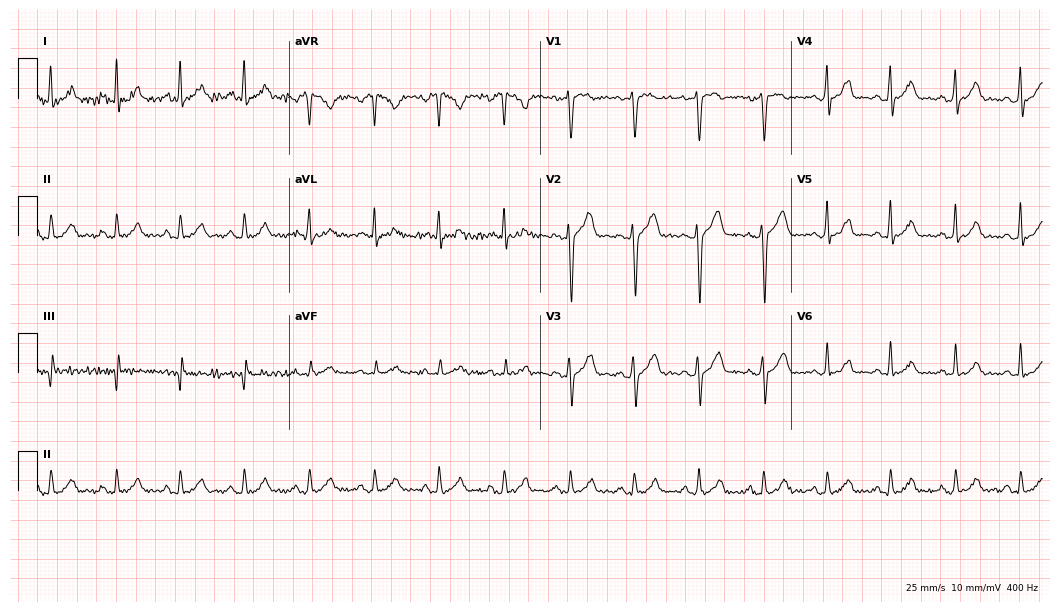
ECG (10.2-second recording at 400 Hz) — a male, 20 years old. Labelled as a normal ECG.